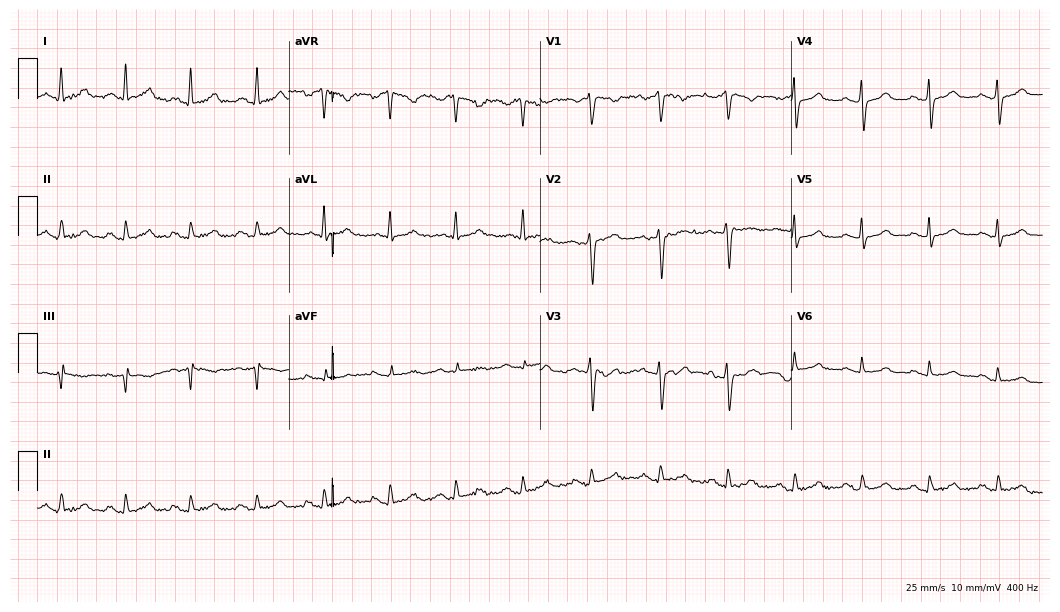
Standard 12-lead ECG recorded from a 49-year-old female (10.2-second recording at 400 Hz). Read as a normal ECG.